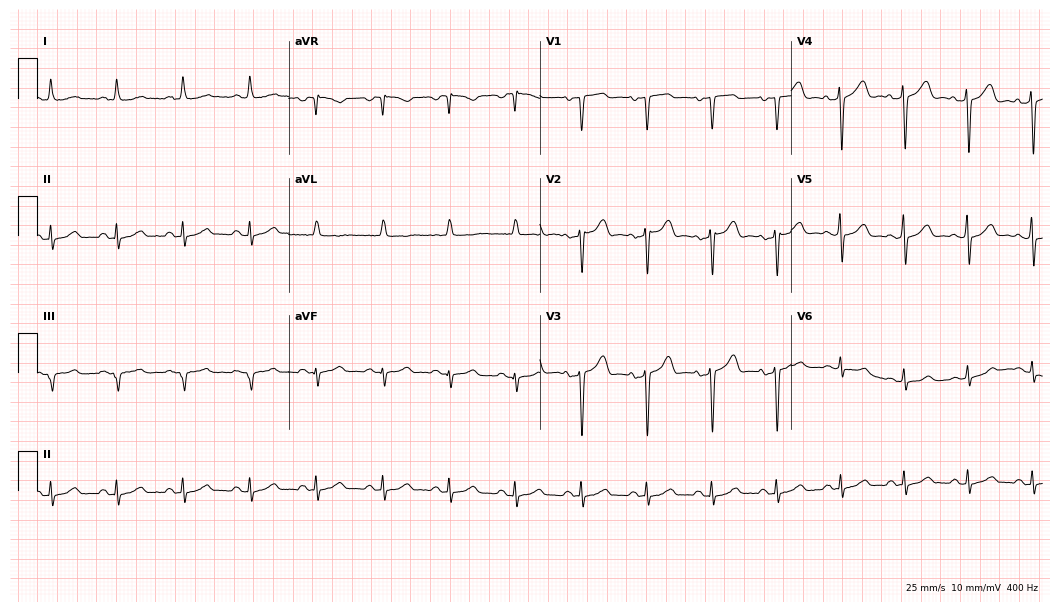
Standard 12-lead ECG recorded from a female, 46 years old. None of these six findings is recorded: first-degree AV block, right bundle branch block, left bundle branch block, sinus bradycardia, atrial fibrillation, sinus tachycardia.